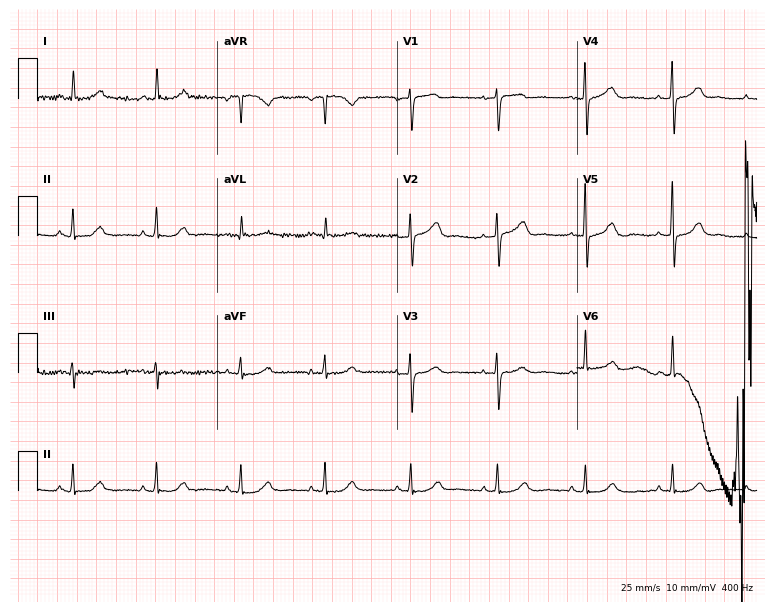
12-lead ECG (7.3-second recording at 400 Hz) from a 77-year-old female. Labelled as a normal ECG.